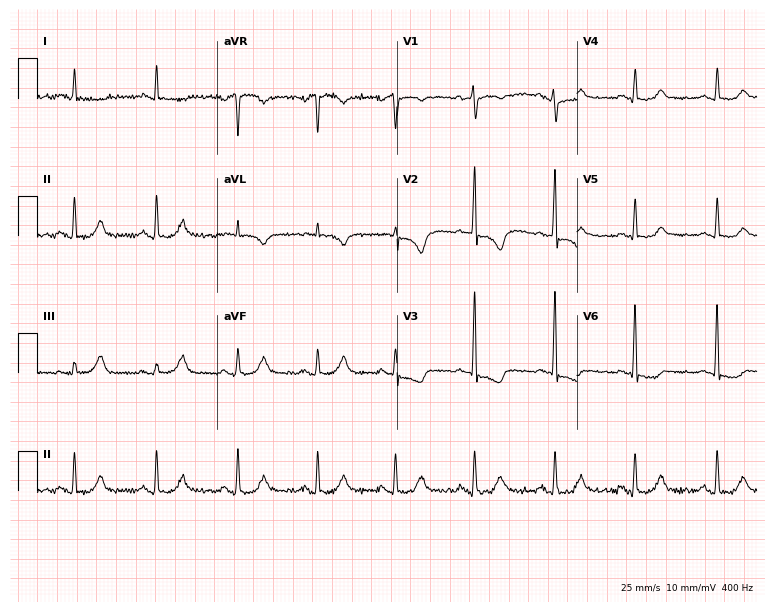
12-lead ECG (7.3-second recording at 400 Hz) from a 53-year-old female. Screened for six findings — first-degree AV block, right bundle branch block (RBBB), left bundle branch block (LBBB), sinus bradycardia, atrial fibrillation (AF), sinus tachycardia — none is recorded.